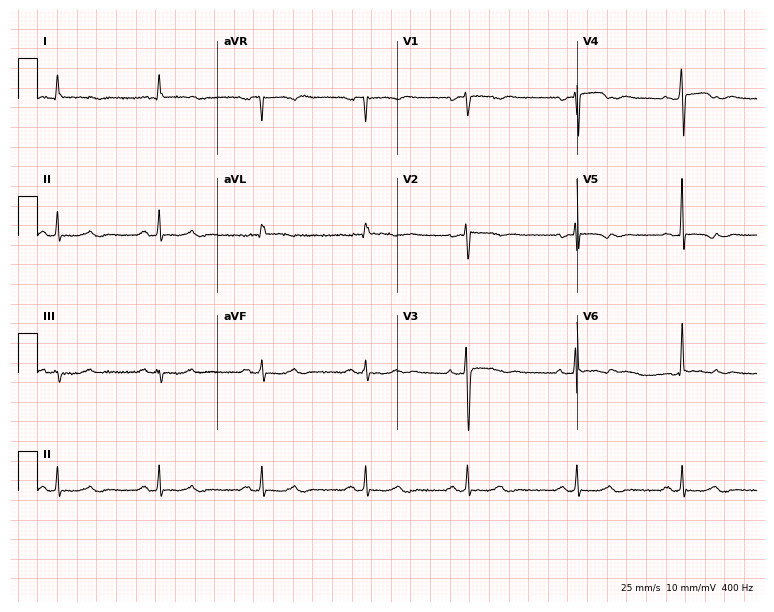
12-lead ECG (7.3-second recording at 400 Hz) from a woman, 65 years old. Labelled as a normal ECG.